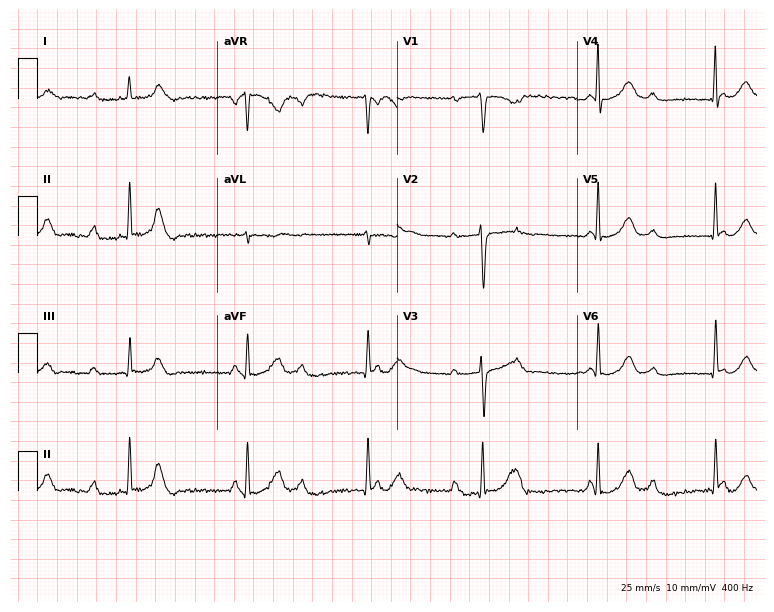
Resting 12-lead electrocardiogram (7.3-second recording at 400 Hz). Patient: a 35-year-old female. None of these six findings is recorded: first-degree AV block, right bundle branch block, left bundle branch block, sinus bradycardia, atrial fibrillation, sinus tachycardia. Only these six findings were labelled.